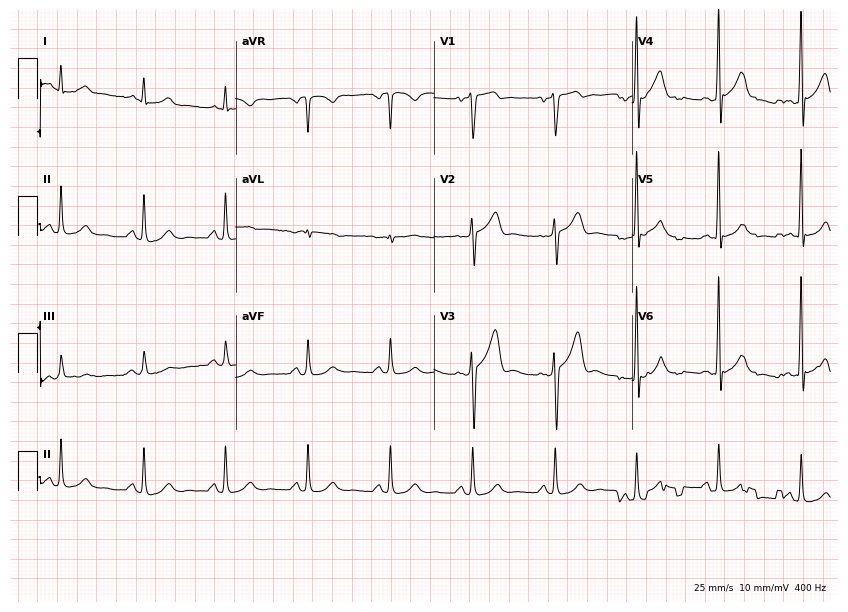
Resting 12-lead electrocardiogram (8.1-second recording at 400 Hz). Patient: a 50-year-old male. None of these six findings is recorded: first-degree AV block, right bundle branch block, left bundle branch block, sinus bradycardia, atrial fibrillation, sinus tachycardia. Other findings, if any, are not listed.